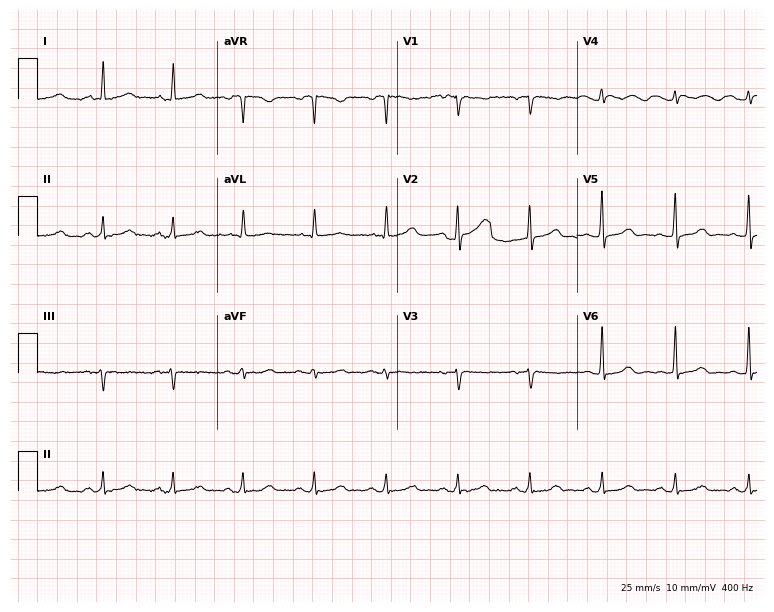
ECG — a 51-year-old woman. Labelled as a normal ECG.